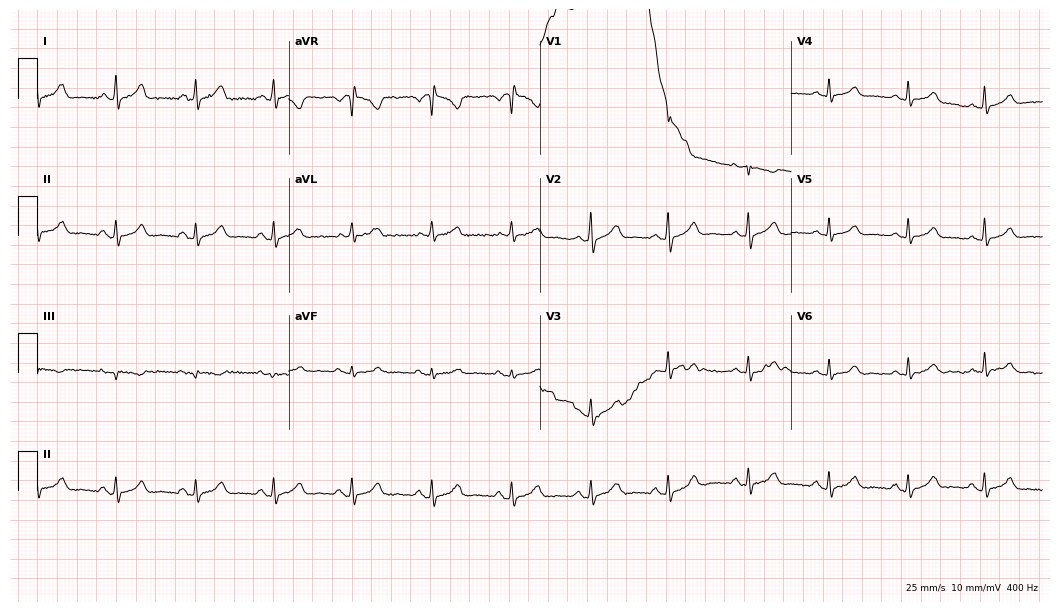
Standard 12-lead ECG recorded from a 36-year-old female. Read as a normal ECG.